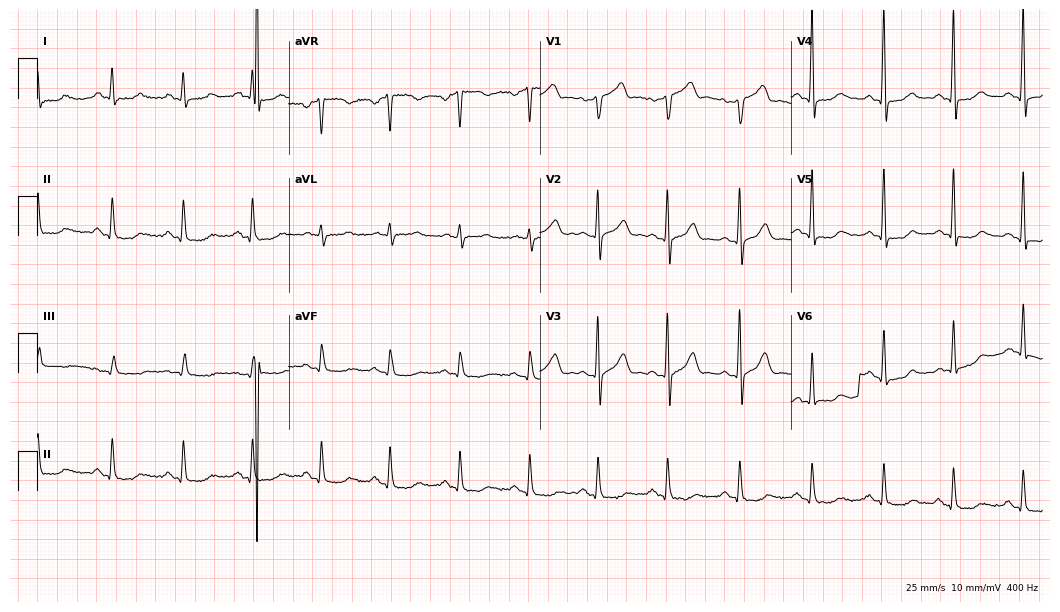
ECG — a 52-year-old man. Screened for six findings — first-degree AV block, right bundle branch block, left bundle branch block, sinus bradycardia, atrial fibrillation, sinus tachycardia — none is recorded. Other findings, if any, are not listed.